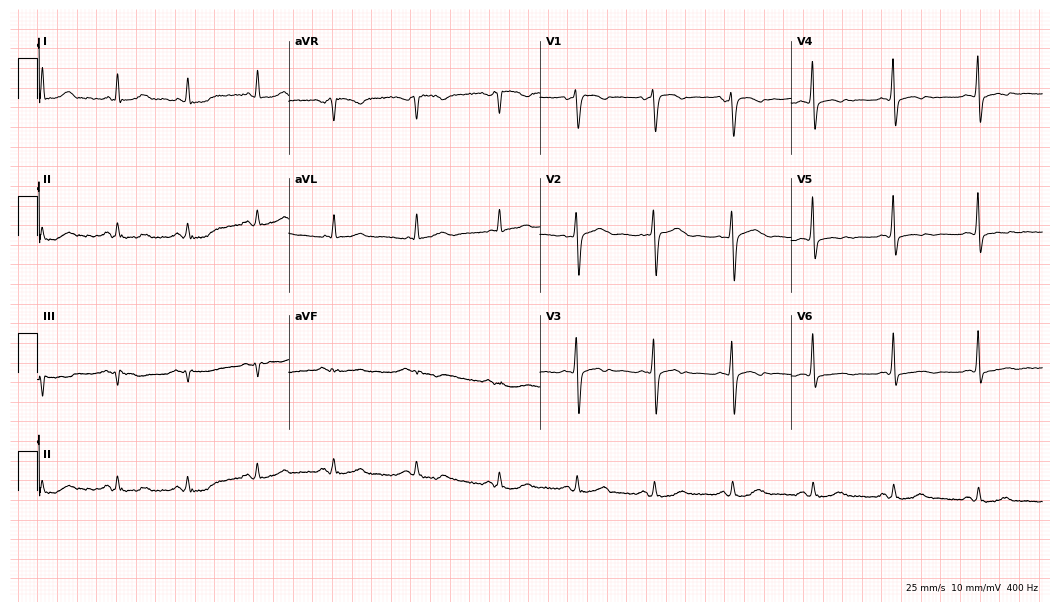
Electrocardiogram (10.2-second recording at 400 Hz), a woman, 53 years old. Of the six screened findings (first-degree AV block, right bundle branch block, left bundle branch block, sinus bradycardia, atrial fibrillation, sinus tachycardia), none is recorded. Only these six findings were labelled.